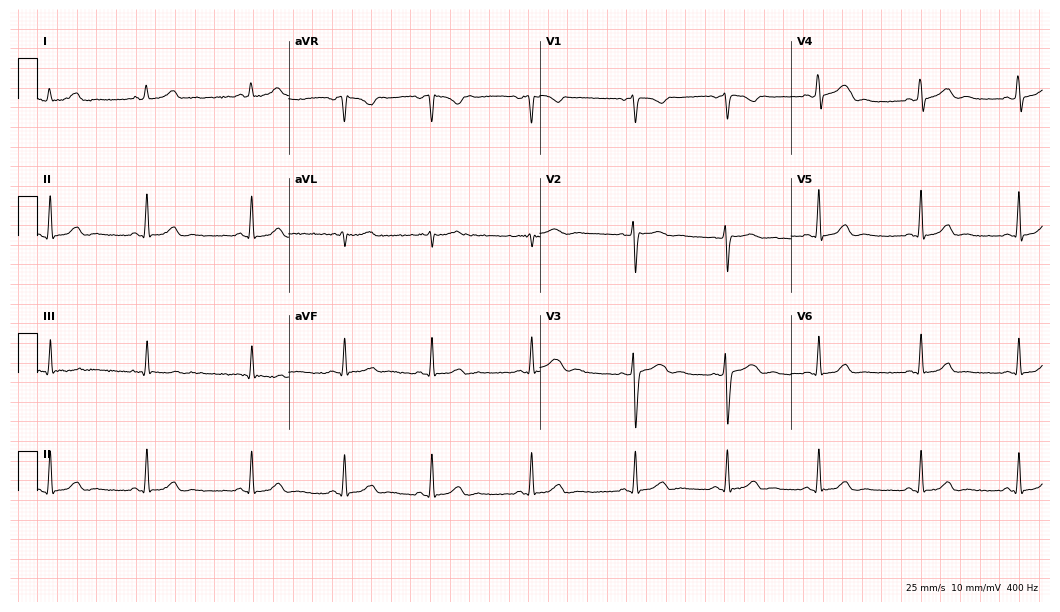
Resting 12-lead electrocardiogram. Patient: a 31-year-old woman. Read as a normal ECG.